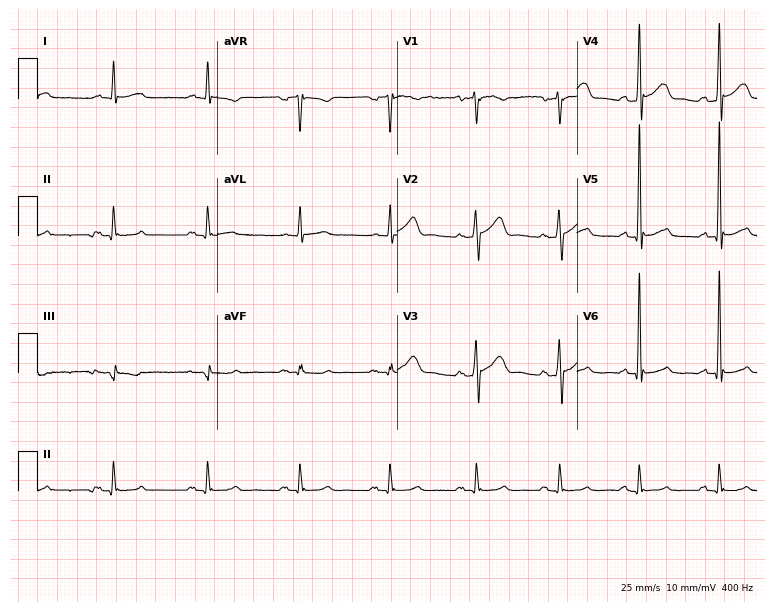
12-lead ECG from a 48-year-old male. Recorded interpretation: within normal limits.